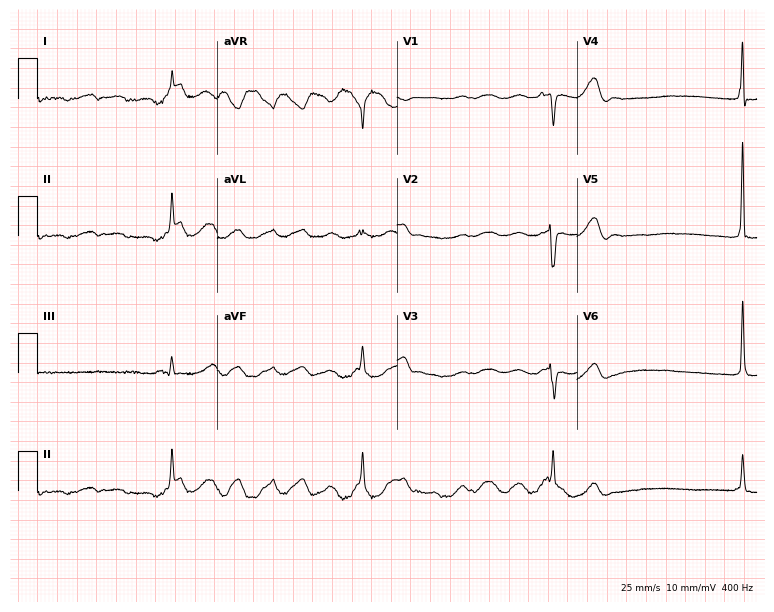
12-lead ECG from an 80-year-old female patient. Shows first-degree AV block, atrial fibrillation.